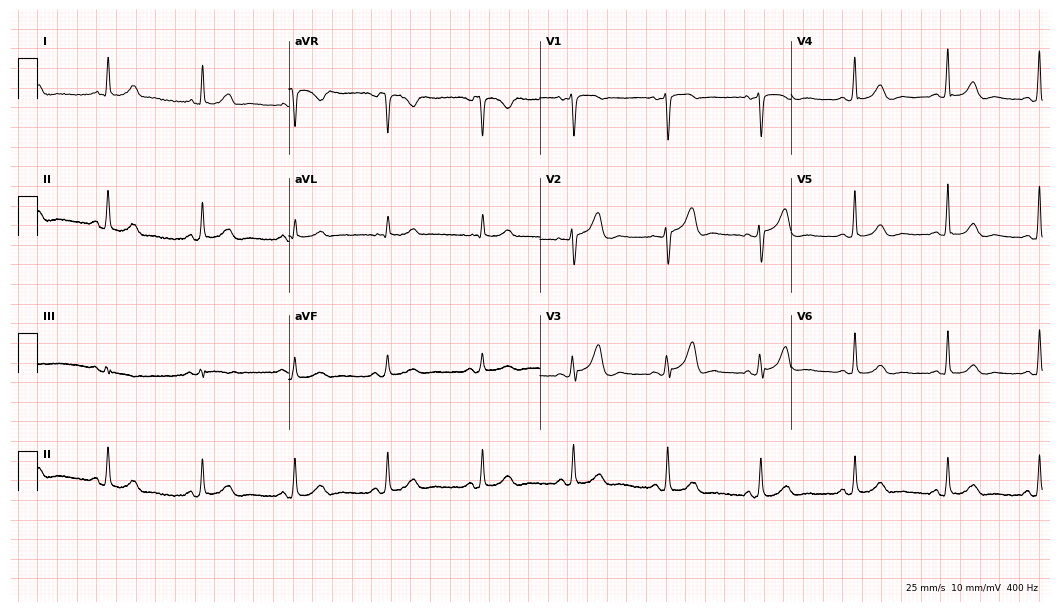
12-lead ECG from a 66-year-old female patient. Labelled as a normal ECG.